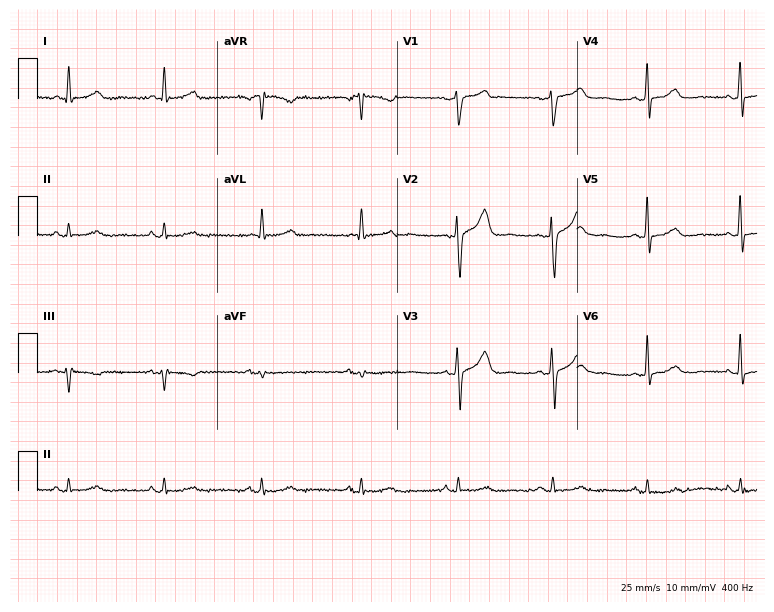
12-lead ECG (7.3-second recording at 400 Hz) from a man, 73 years old. Labelled as a normal ECG.